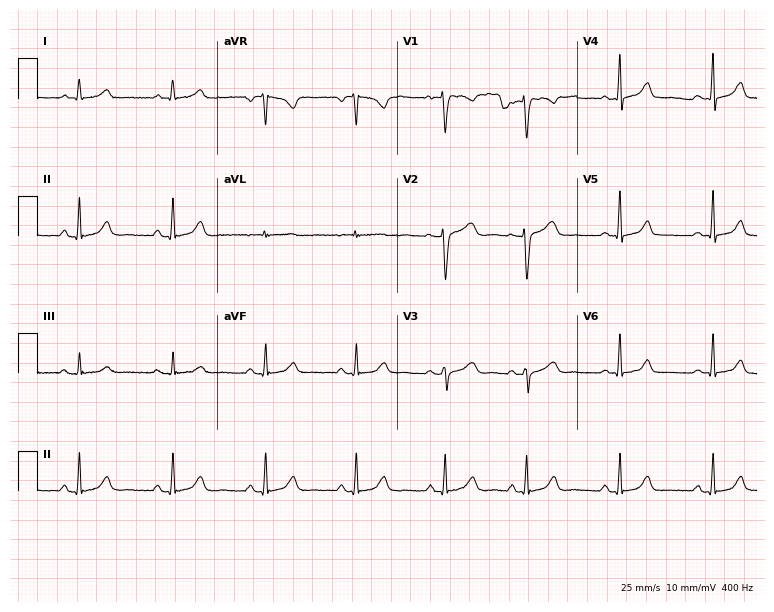
ECG (7.3-second recording at 400 Hz) — a female, 35 years old. Labelled as a normal ECG.